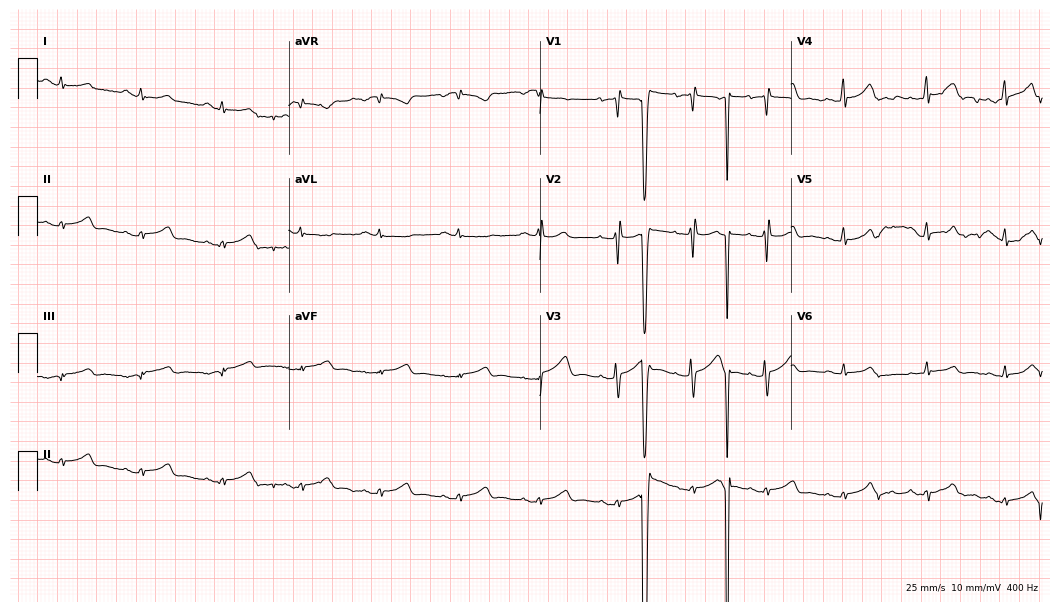
Standard 12-lead ECG recorded from a woman, 36 years old. None of these six findings is recorded: first-degree AV block, right bundle branch block, left bundle branch block, sinus bradycardia, atrial fibrillation, sinus tachycardia. Only these six findings were labelled.